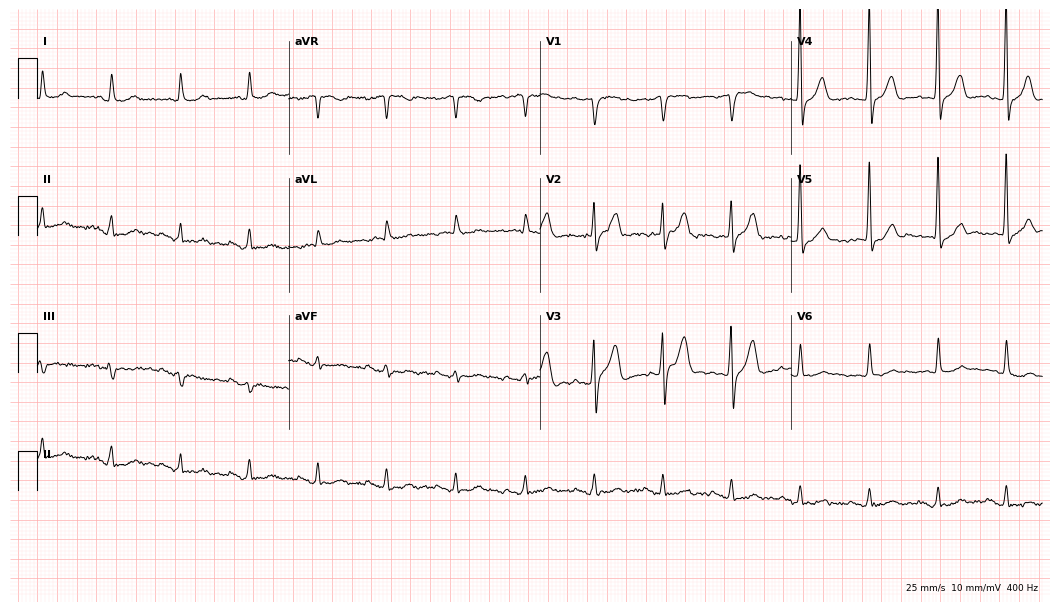
12-lead ECG from a male patient, 77 years old (10.2-second recording at 400 Hz). Recorded interpretation: within normal limits.